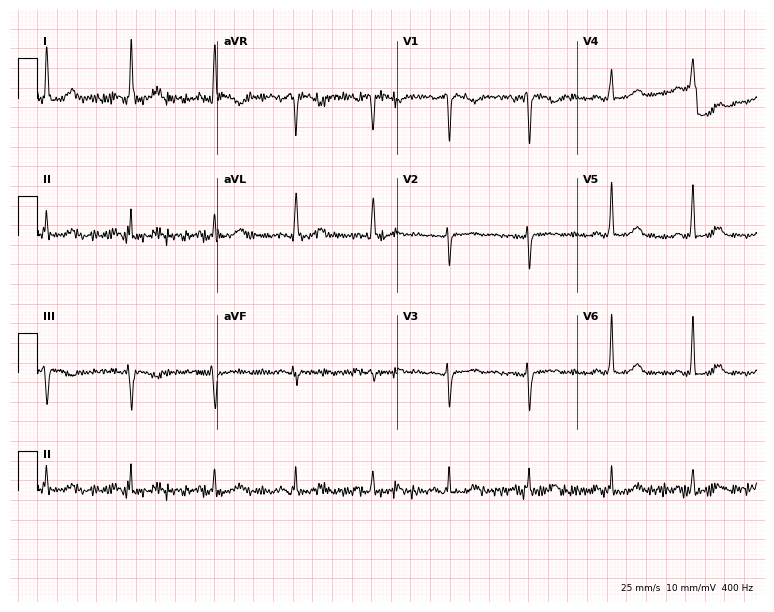
ECG (7.3-second recording at 400 Hz) — a 53-year-old female. Labelled as a normal ECG.